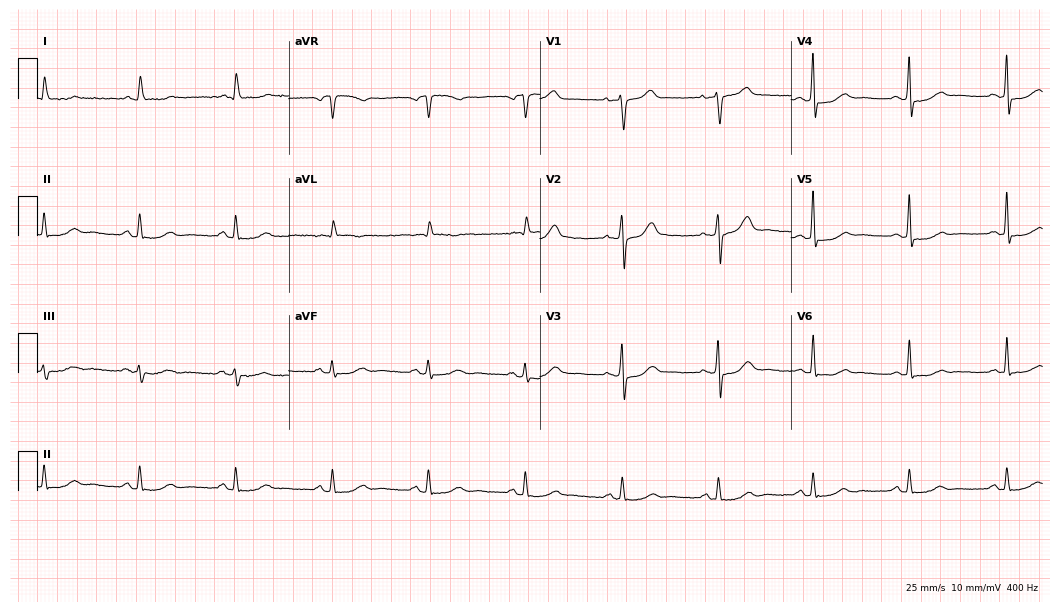
Standard 12-lead ECG recorded from a 58-year-old female. None of these six findings is recorded: first-degree AV block, right bundle branch block, left bundle branch block, sinus bradycardia, atrial fibrillation, sinus tachycardia. Other findings, if any, are not listed.